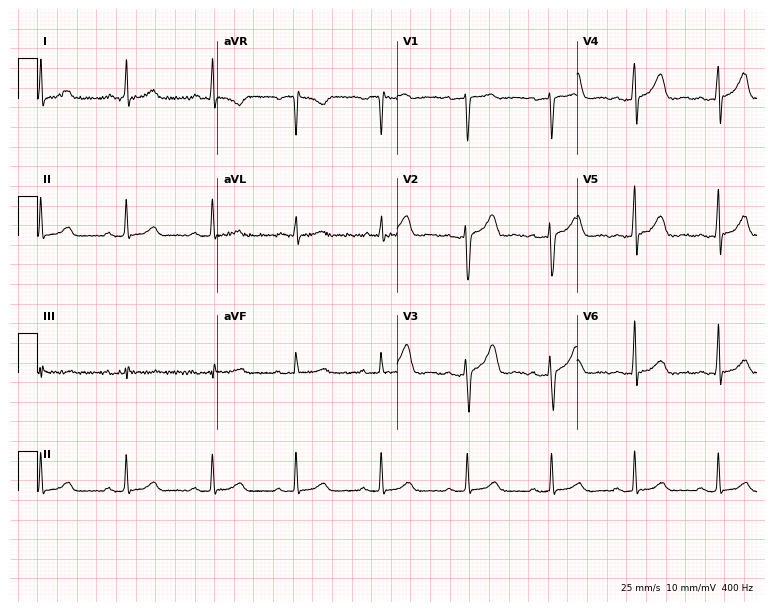
12-lead ECG (7.3-second recording at 400 Hz) from a 43-year-old woman. Labelled as a normal ECG.